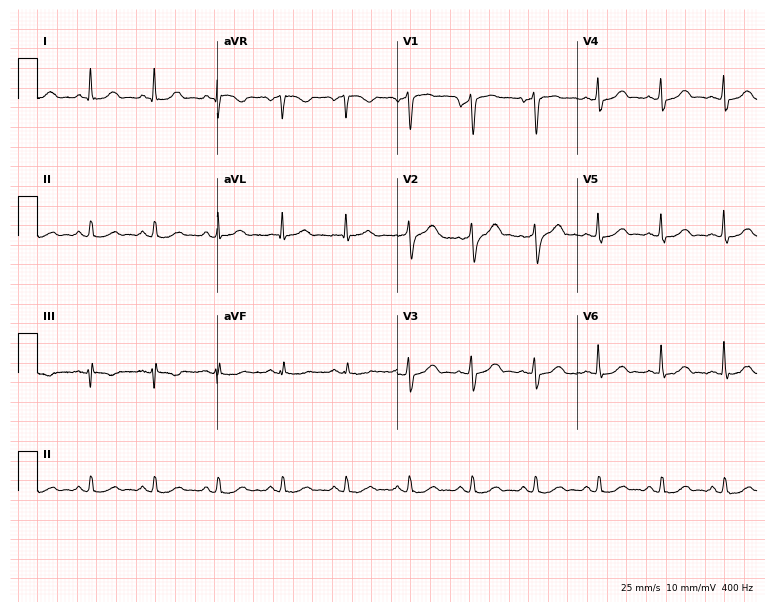
Standard 12-lead ECG recorded from a man, 58 years old (7.3-second recording at 400 Hz). Read as a normal ECG.